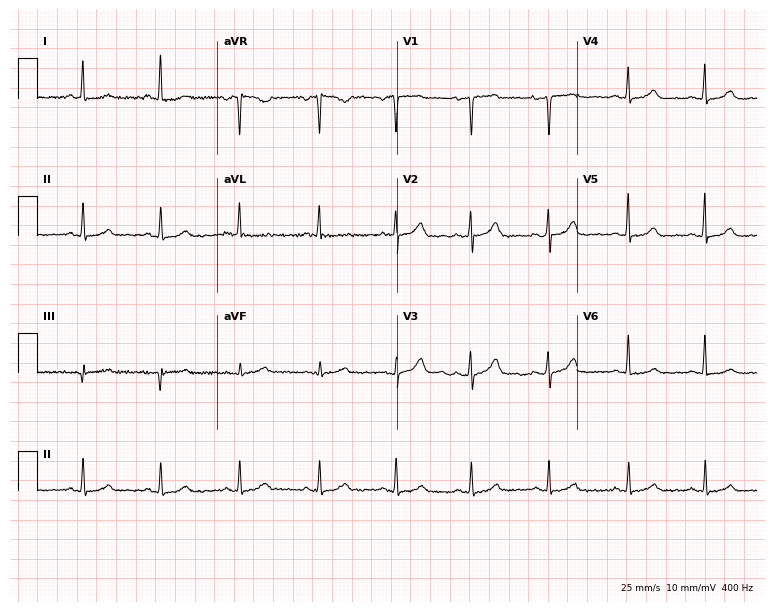
Standard 12-lead ECG recorded from a female, 45 years old. None of these six findings is recorded: first-degree AV block, right bundle branch block (RBBB), left bundle branch block (LBBB), sinus bradycardia, atrial fibrillation (AF), sinus tachycardia.